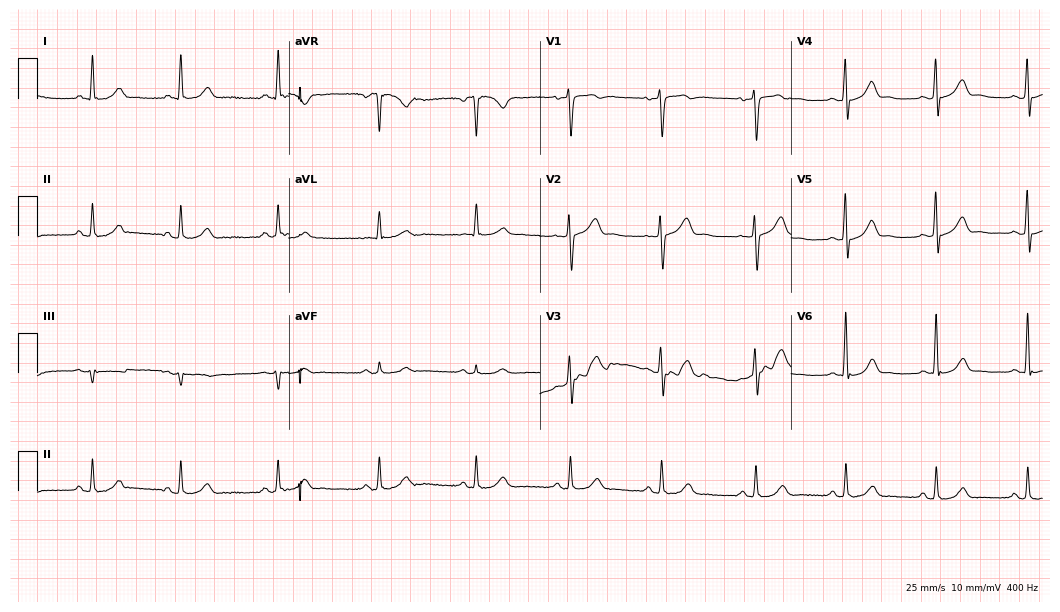
12-lead ECG from a 66-year-old male (10.2-second recording at 400 Hz). No first-degree AV block, right bundle branch block, left bundle branch block, sinus bradycardia, atrial fibrillation or sinus tachycardia recorded for this tracing.